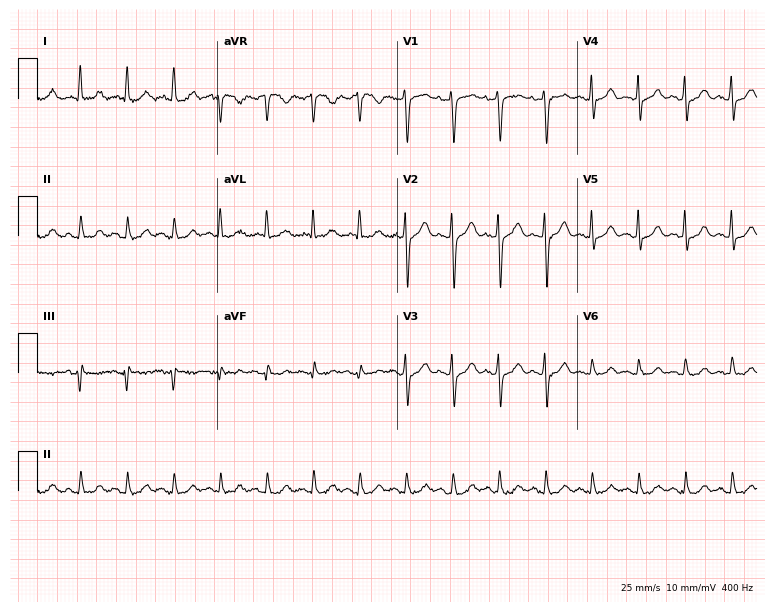
ECG (7.3-second recording at 400 Hz) — a 79-year-old female patient. Screened for six findings — first-degree AV block, right bundle branch block, left bundle branch block, sinus bradycardia, atrial fibrillation, sinus tachycardia — none is recorded.